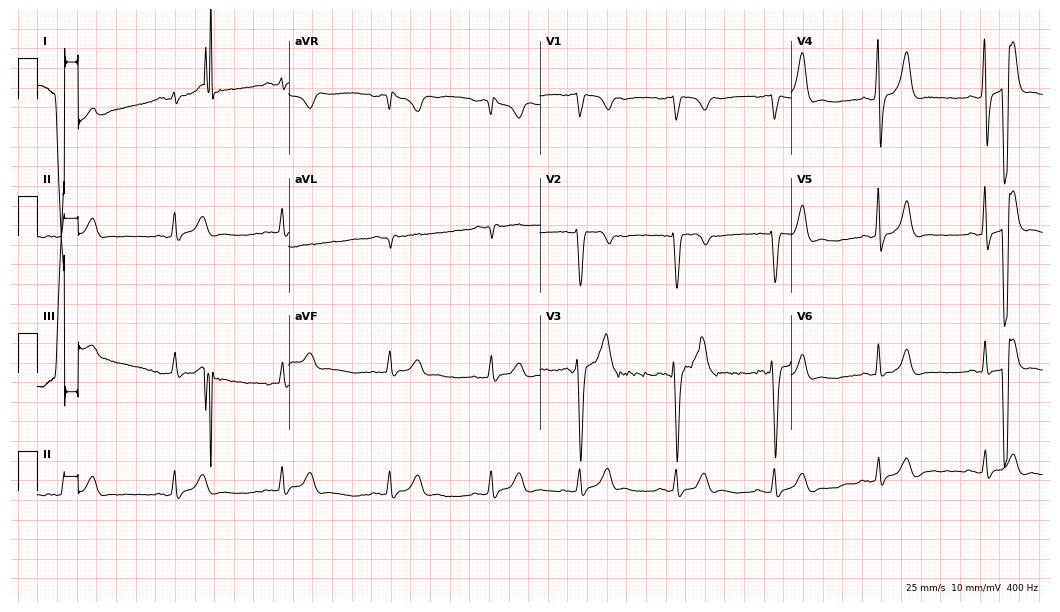
12-lead ECG from a male patient, 26 years old. No first-degree AV block, right bundle branch block (RBBB), left bundle branch block (LBBB), sinus bradycardia, atrial fibrillation (AF) or sinus tachycardia recorded for this tracing.